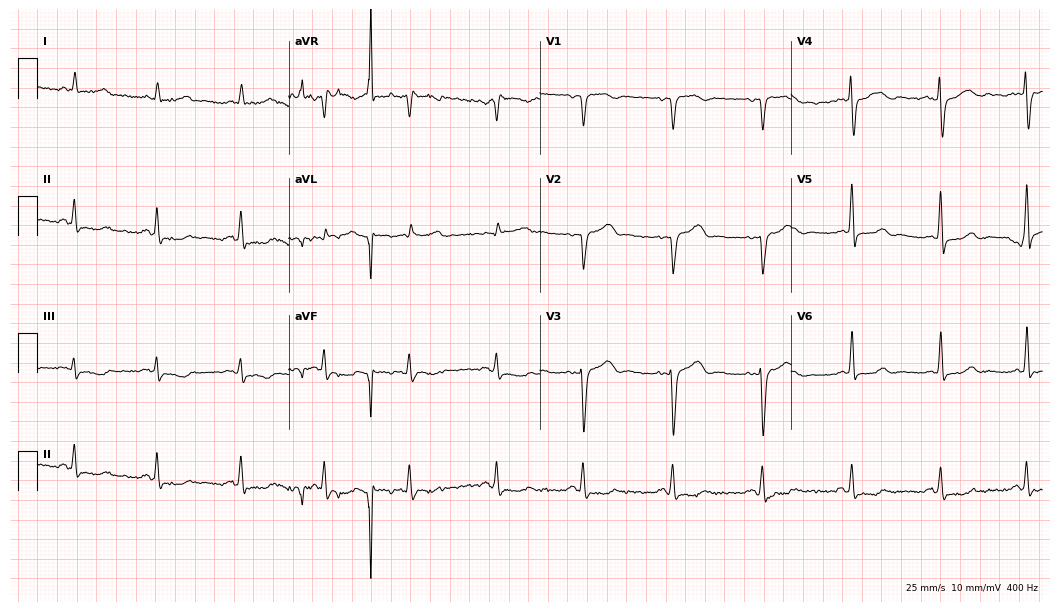
ECG — a female, 53 years old. Screened for six findings — first-degree AV block, right bundle branch block, left bundle branch block, sinus bradycardia, atrial fibrillation, sinus tachycardia — none is recorded. Findings outside these six are not listed.